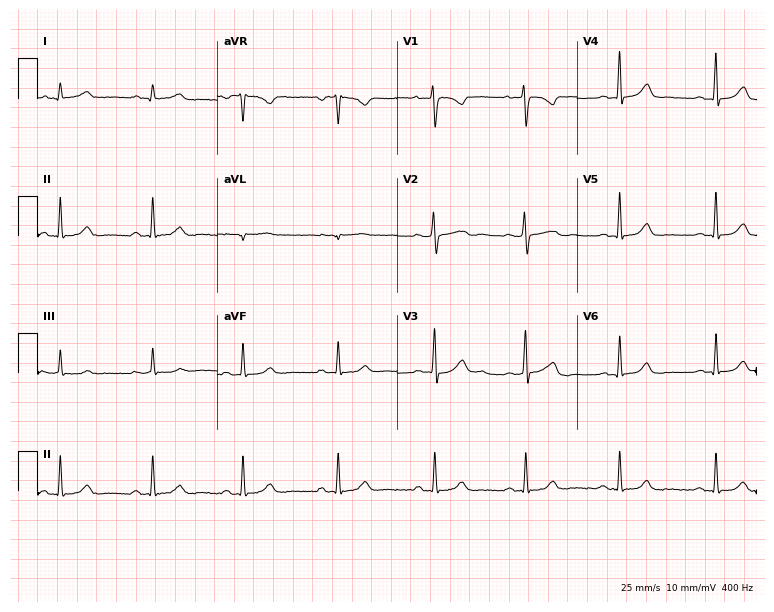
12-lead ECG from a 23-year-old female patient. Screened for six findings — first-degree AV block, right bundle branch block, left bundle branch block, sinus bradycardia, atrial fibrillation, sinus tachycardia — none is recorded.